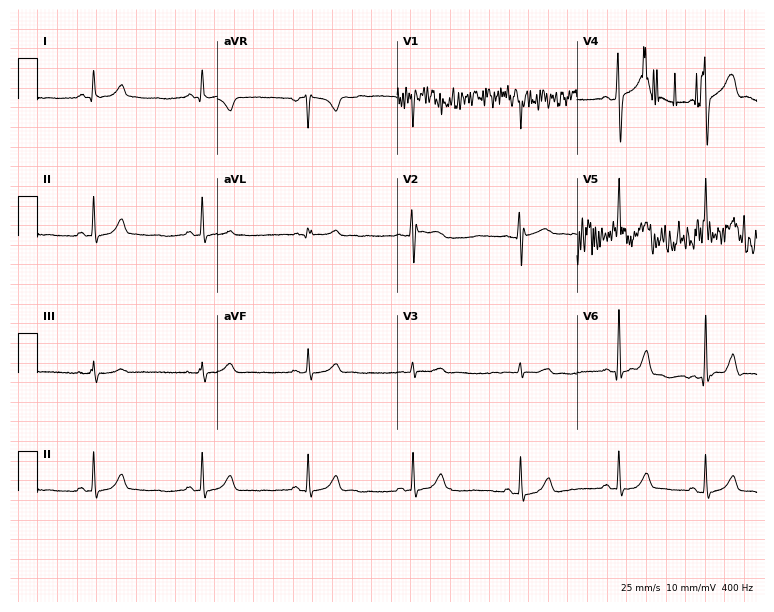
12-lead ECG (7.3-second recording at 400 Hz) from a male, 18 years old. Screened for six findings — first-degree AV block, right bundle branch block, left bundle branch block, sinus bradycardia, atrial fibrillation, sinus tachycardia — none is recorded. Only these six findings were labelled.